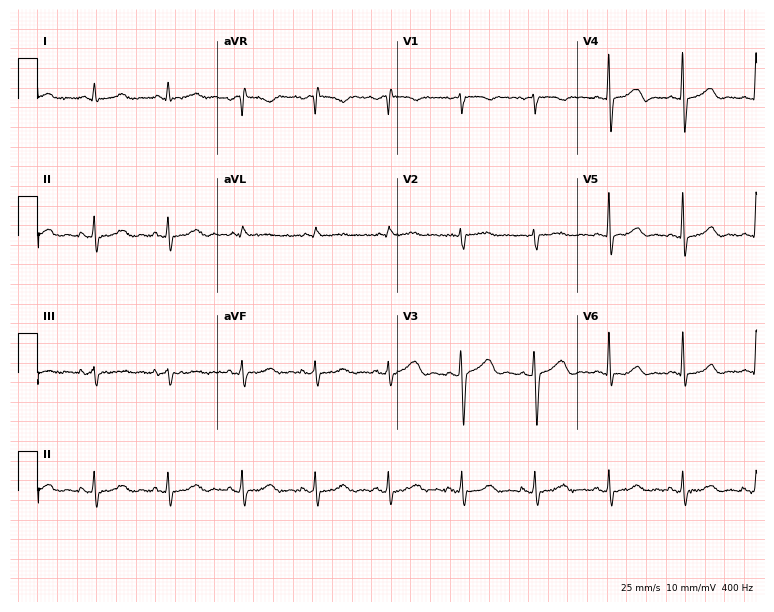
Standard 12-lead ECG recorded from a 37-year-old woman. Read as a normal ECG.